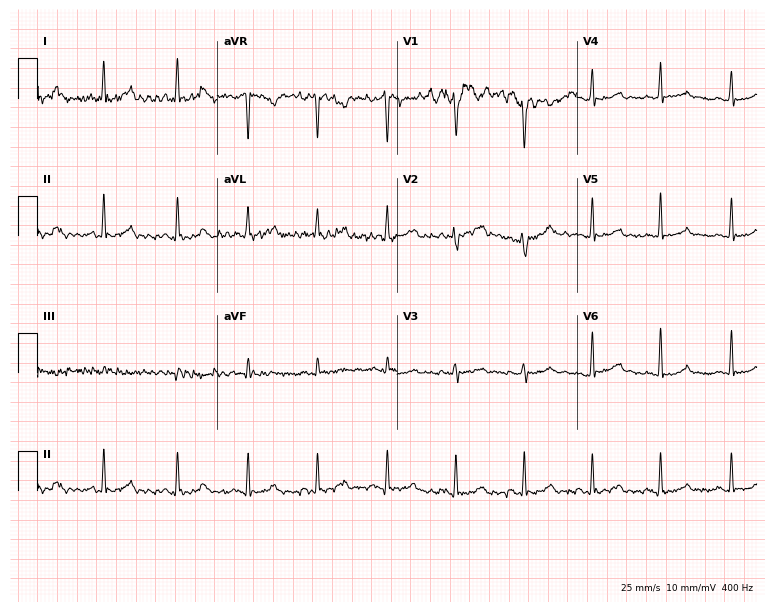
12-lead ECG (7.3-second recording at 400 Hz) from a 35-year-old female. Labelled as a normal ECG.